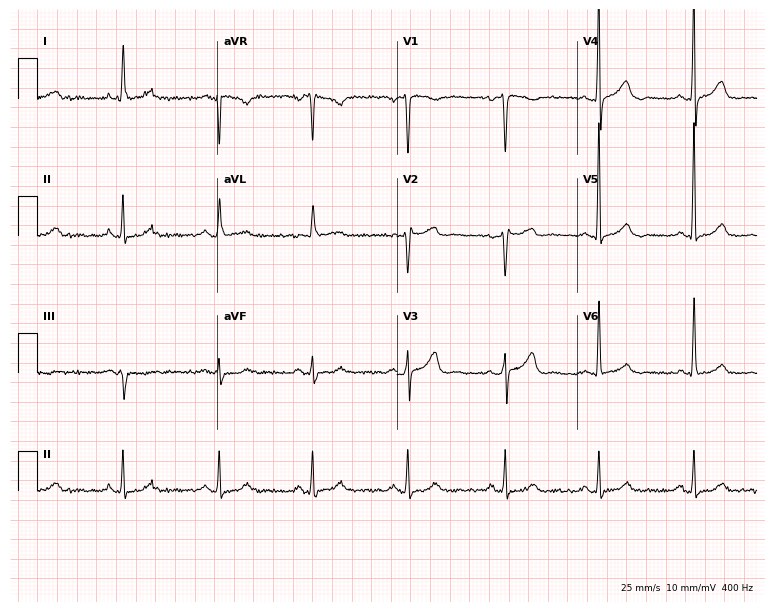
Standard 12-lead ECG recorded from a 43-year-old female (7.3-second recording at 400 Hz). None of these six findings is recorded: first-degree AV block, right bundle branch block (RBBB), left bundle branch block (LBBB), sinus bradycardia, atrial fibrillation (AF), sinus tachycardia.